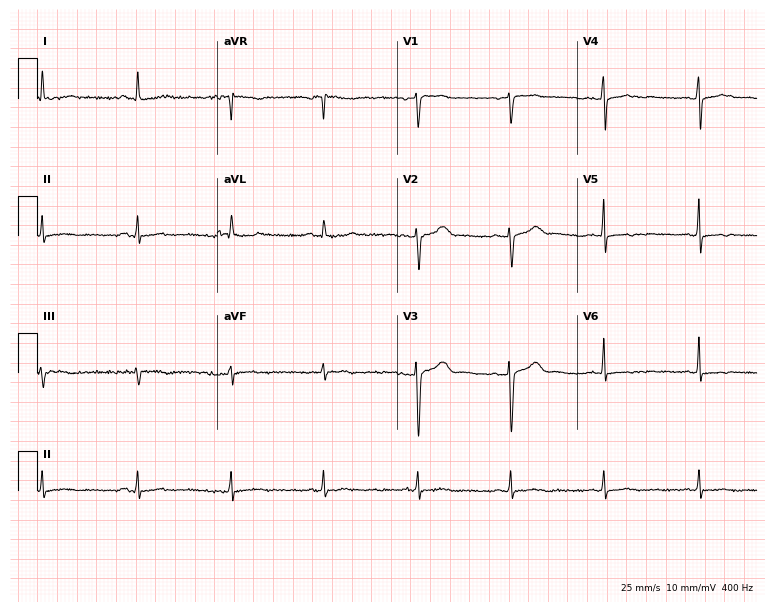
Electrocardiogram, a woman, 48 years old. Of the six screened findings (first-degree AV block, right bundle branch block, left bundle branch block, sinus bradycardia, atrial fibrillation, sinus tachycardia), none is recorded. Only these six findings were labelled.